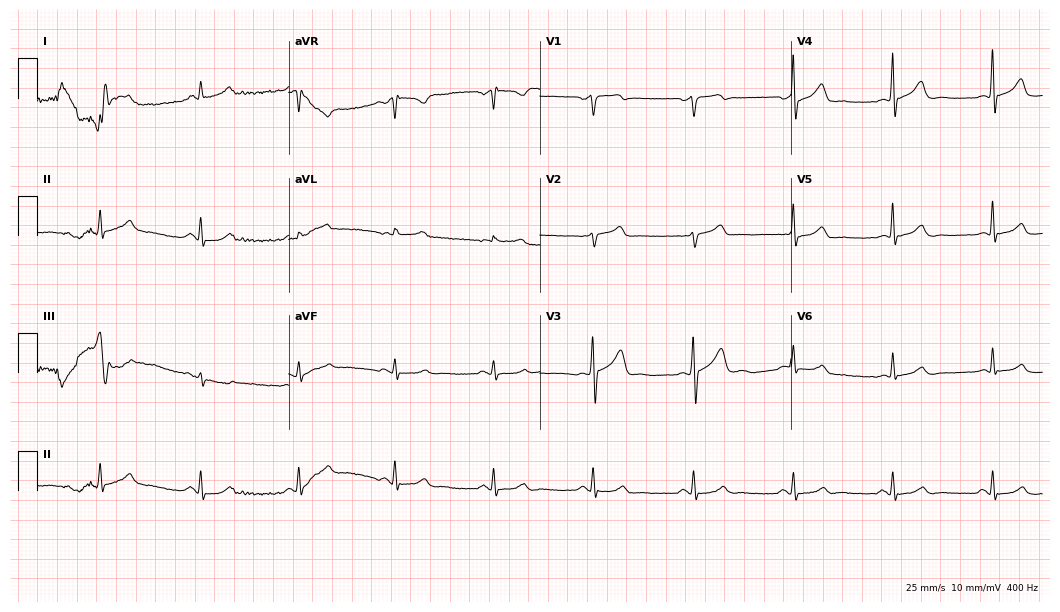
Electrocardiogram (10.2-second recording at 400 Hz), a man, 58 years old. Of the six screened findings (first-degree AV block, right bundle branch block (RBBB), left bundle branch block (LBBB), sinus bradycardia, atrial fibrillation (AF), sinus tachycardia), none is recorded. Only these six findings were labelled.